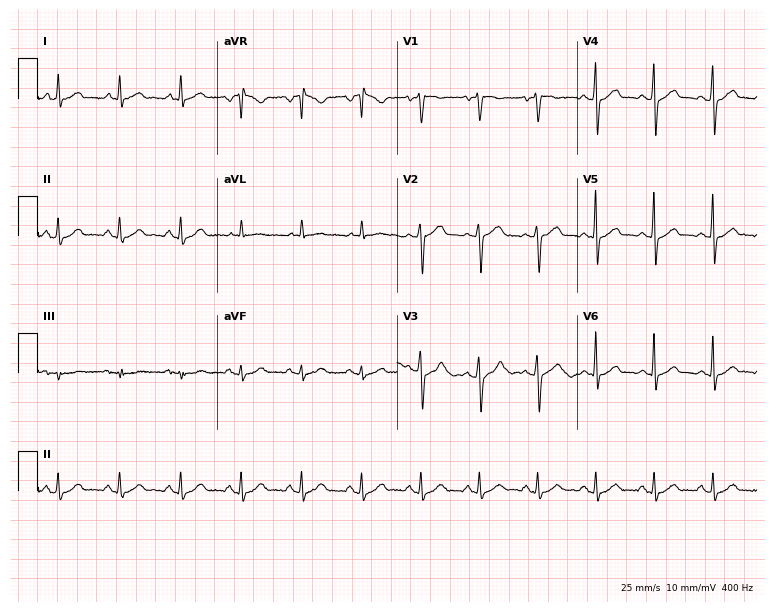
ECG (7.3-second recording at 400 Hz) — a 60-year-old man. Screened for six findings — first-degree AV block, right bundle branch block (RBBB), left bundle branch block (LBBB), sinus bradycardia, atrial fibrillation (AF), sinus tachycardia — none is recorded.